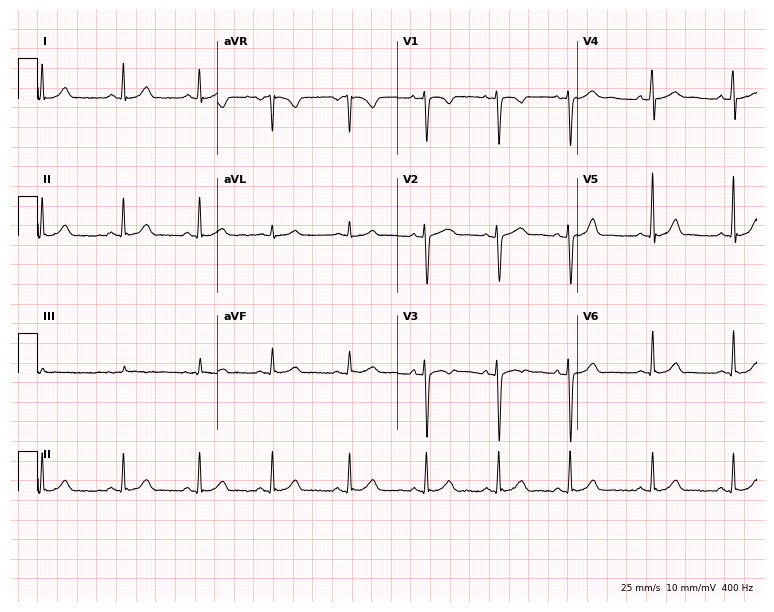
12-lead ECG (7.3-second recording at 400 Hz) from a 20-year-old female patient. Labelled as a normal ECG.